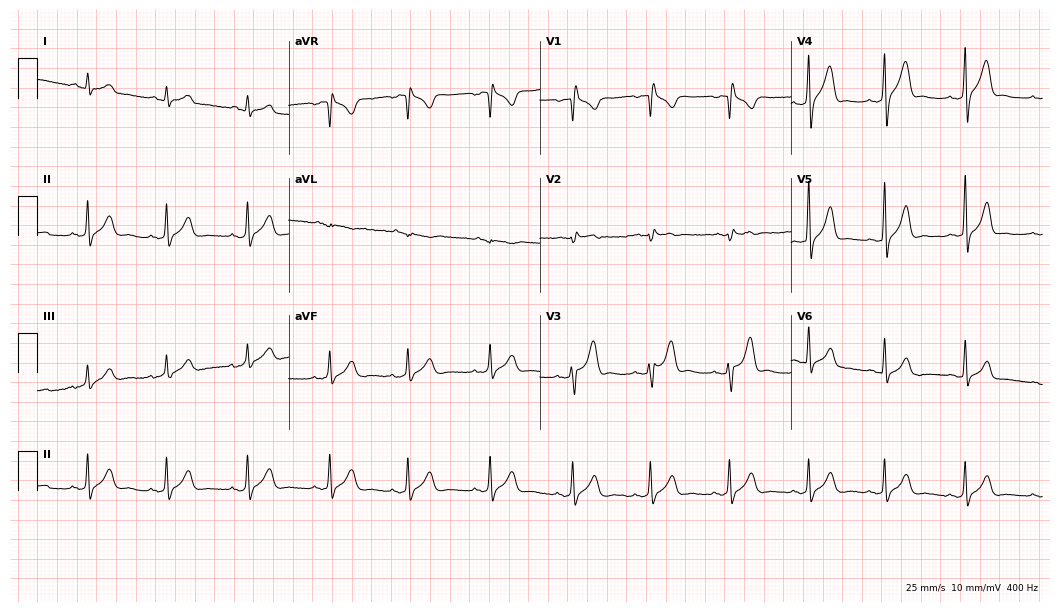
ECG (10.2-second recording at 400 Hz) — a man, 27 years old. Screened for six findings — first-degree AV block, right bundle branch block, left bundle branch block, sinus bradycardia, atrial fibrillation, sinus tachycardia — none is recorded.